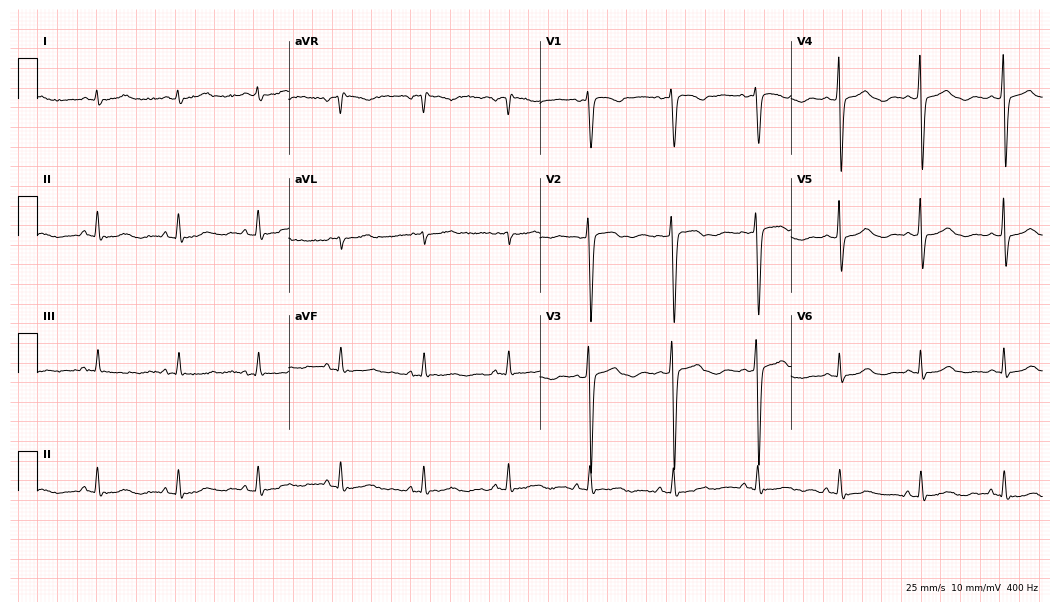
Resting 12-lead electrocardiogram. Patient: a 46-year-old female. None of these six findings is recorded: first-degree AV block, right bundle branch block, left bundle branch block, sinus bradycardia, atrial fibrillation, sinus tachycardia. Other findings, if any, are not listed.